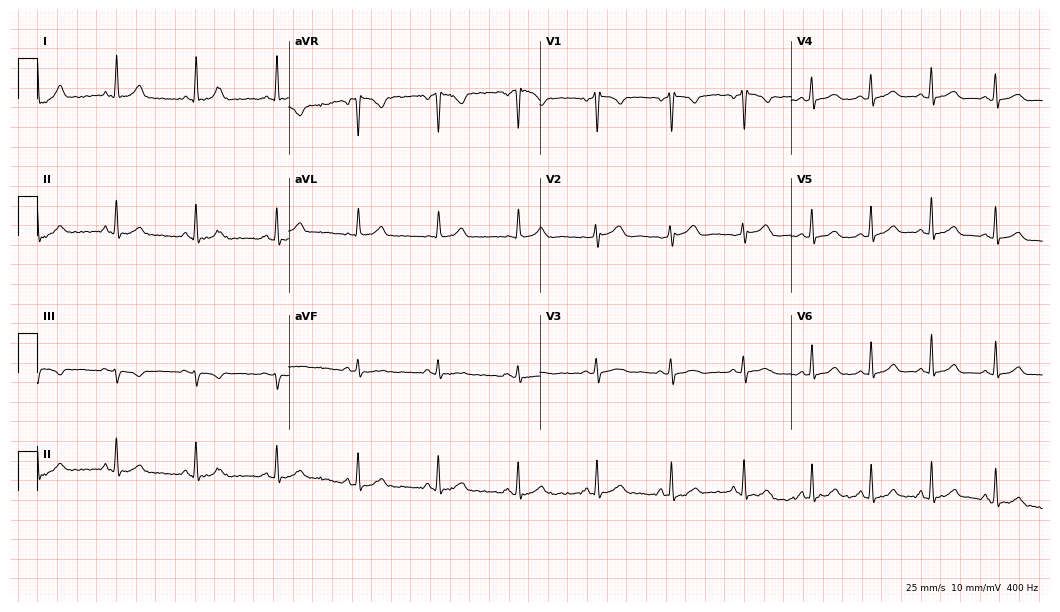
Resting 12-lead electrocardiogram. Patient: a 40-year-old female. Read as a normal ECG.